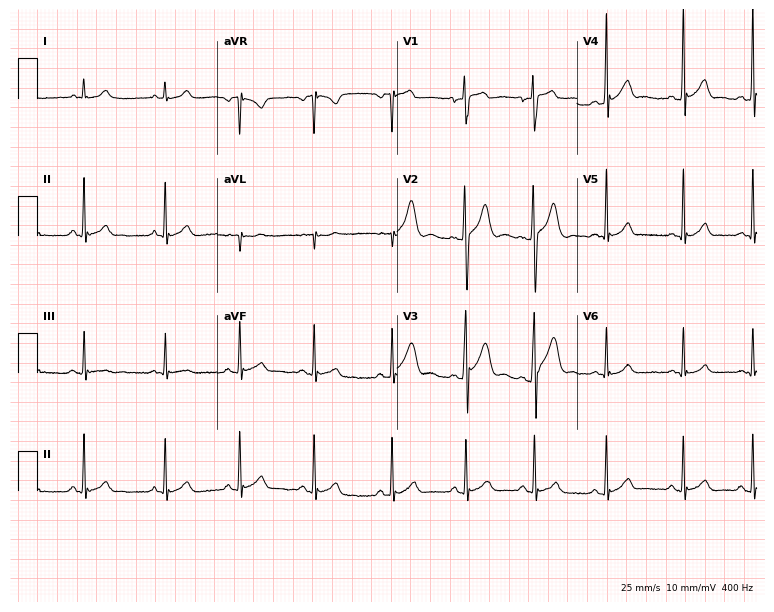
12-lead ECG from a man, 21 years old. Labelled as a normal ECG.